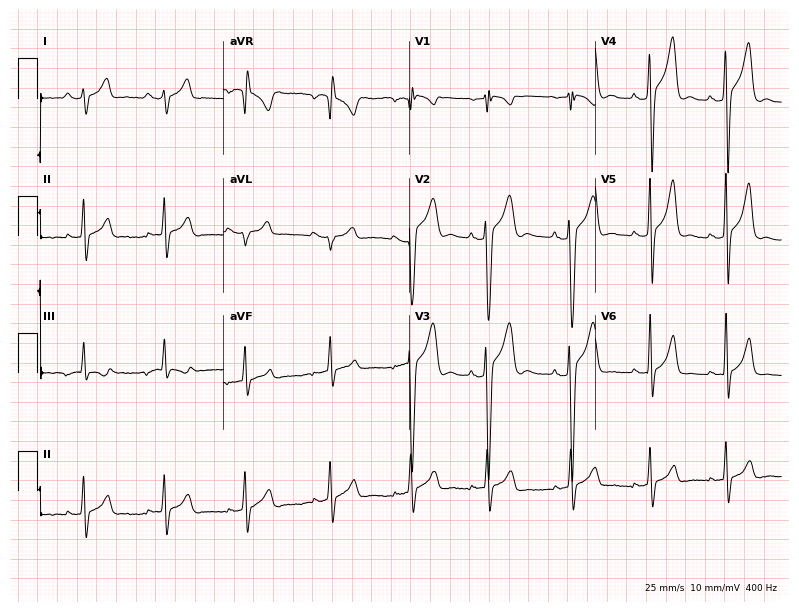
ECG (7.6-second recording at 400 Hz) — a 19-year-old man. Labelled as a normal ECG.